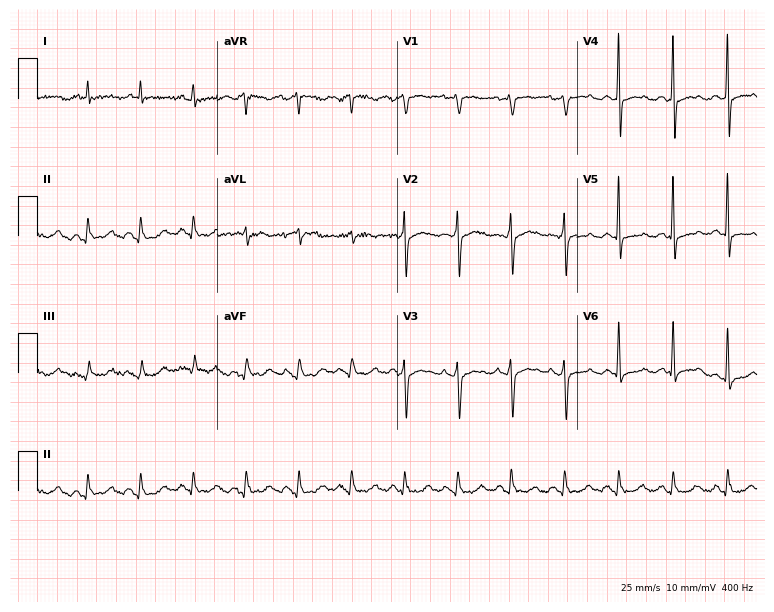
12-lead ECG from a woman, 58 years old (7.3-second recording at 400 Hz). Shows sinus tachycardia (a sinus rate of 100 beats per minute or more).